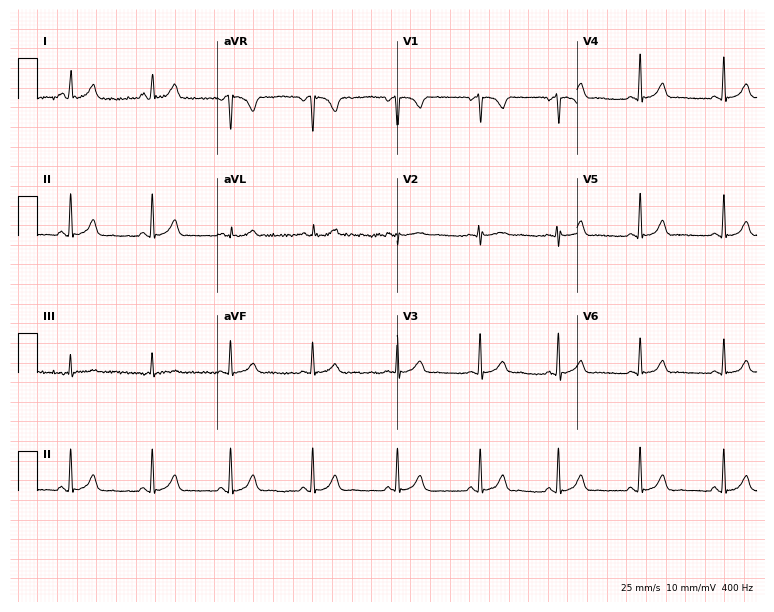
Electrocardiogram (7.3-second recording at 400 Hz), a woman, 19 years old. Overall reading on record: normal ECG.